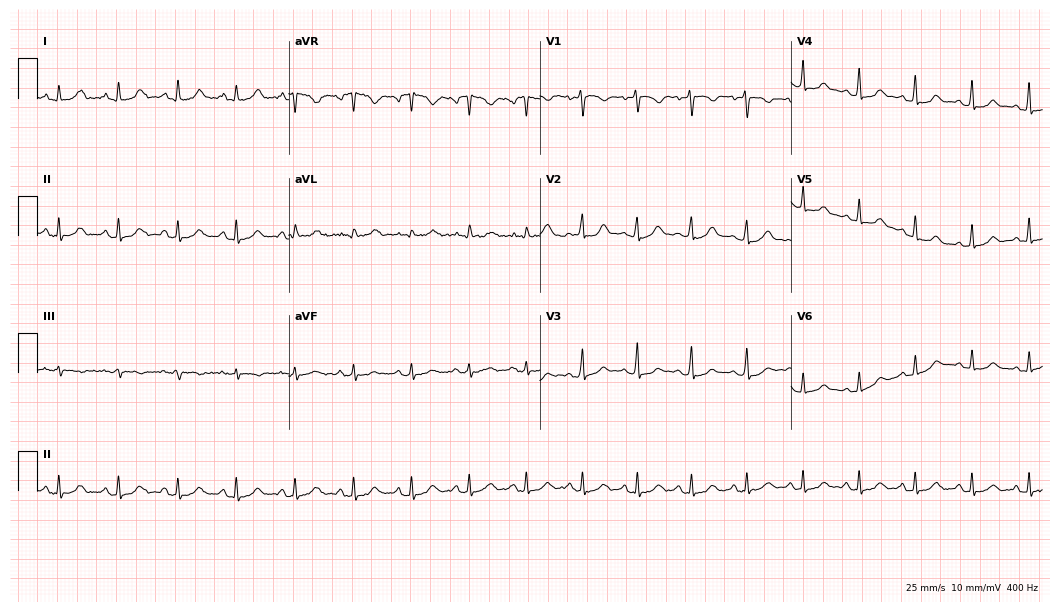
Electrocardiogram, a 41-year-old woman. Overall reading on record: normal ECG.